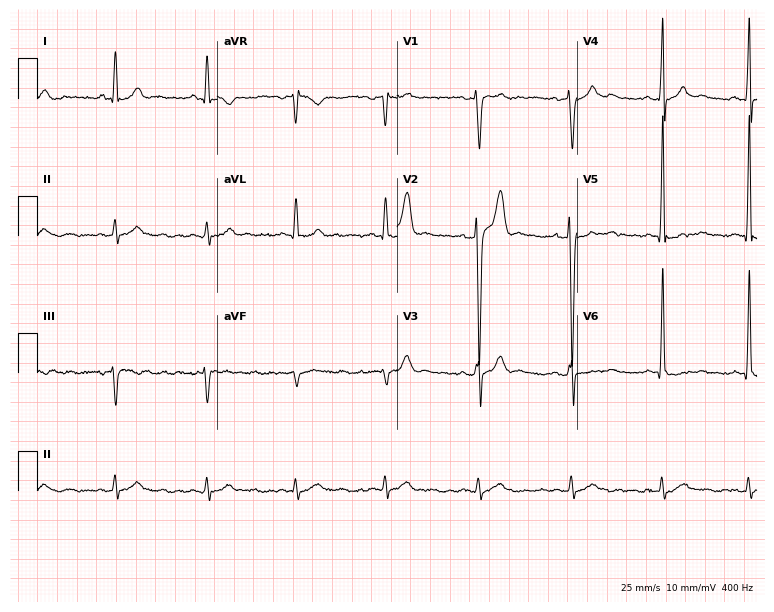
Standard 12-lead ECG recorded from a male patient, 40 years old (7.3-second recording at 400 Hz). None of these six findings is recorded: first-degree AV block, right bundle branch block, left bundle branch block, sinus bradycardia, atrial fibrillation, sinus tachycardia. Other findings, if any, are not listed.